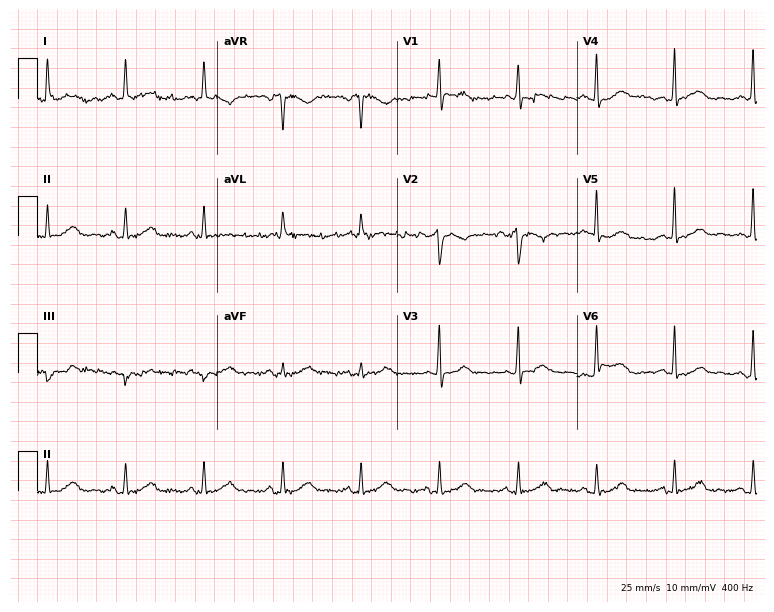
12-lead ECG from a 64-year-old woman. Labelled as a normal ECG.